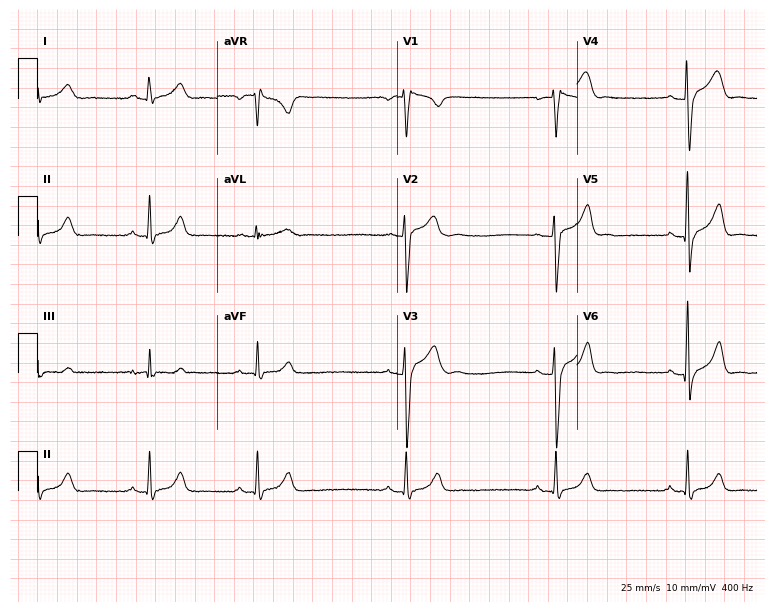
Resting 12-lead electrocardiogram (7.3-second recording at 400 Hz). Patient: a male, 26 years old. None of these six findings is recorded: first-degree AV block, right bundle branch block, left bundle branch block, sinus bradycardia, atrial fibrillation, sinus tachycardia.